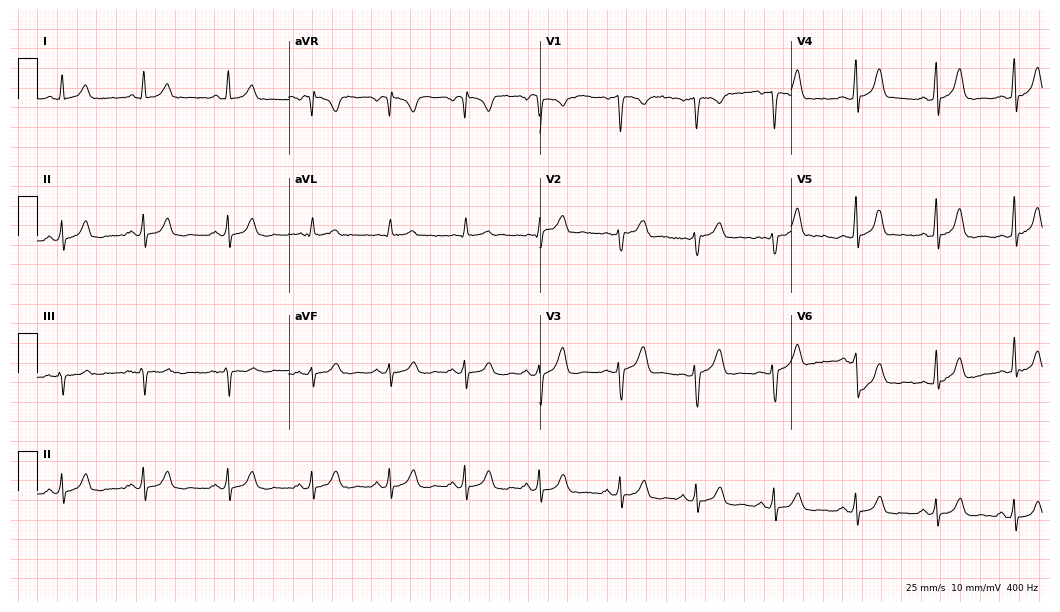
Standard 12-lead ECG recorded from a 29-year-old female patient (10.2-second recording at 400 Hz). Read as a normal ECG.